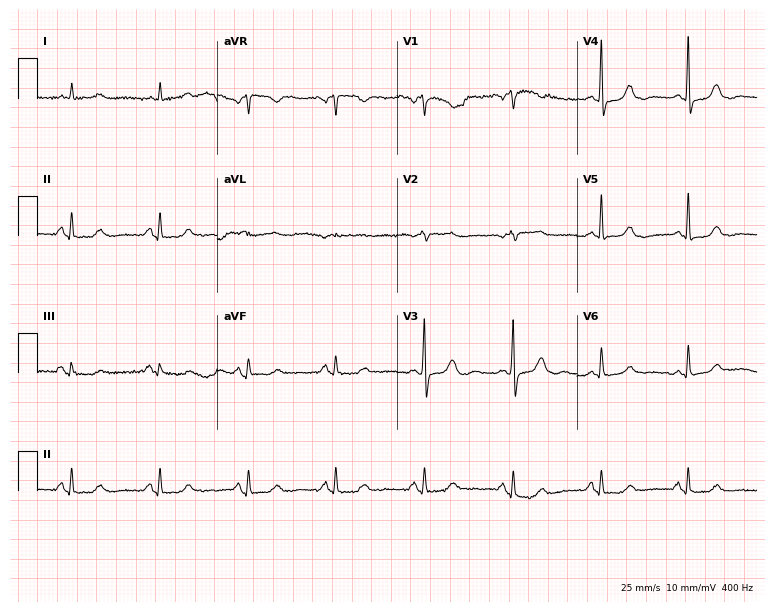
Resting 12-lead electrocardiogram. Patient: an 80-year-old female. Read as a normal ECG.